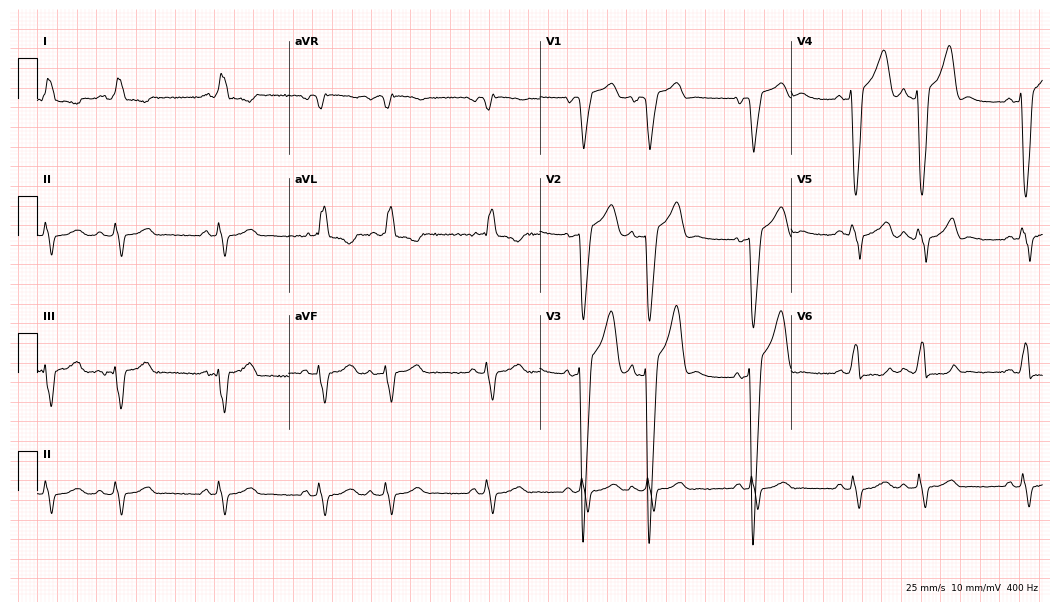
Standard 12-lead ECG recorded from a 76-year-old man (10.2-second recording at 400 Hz). The tracing shows left bundle branch block (LBBB).